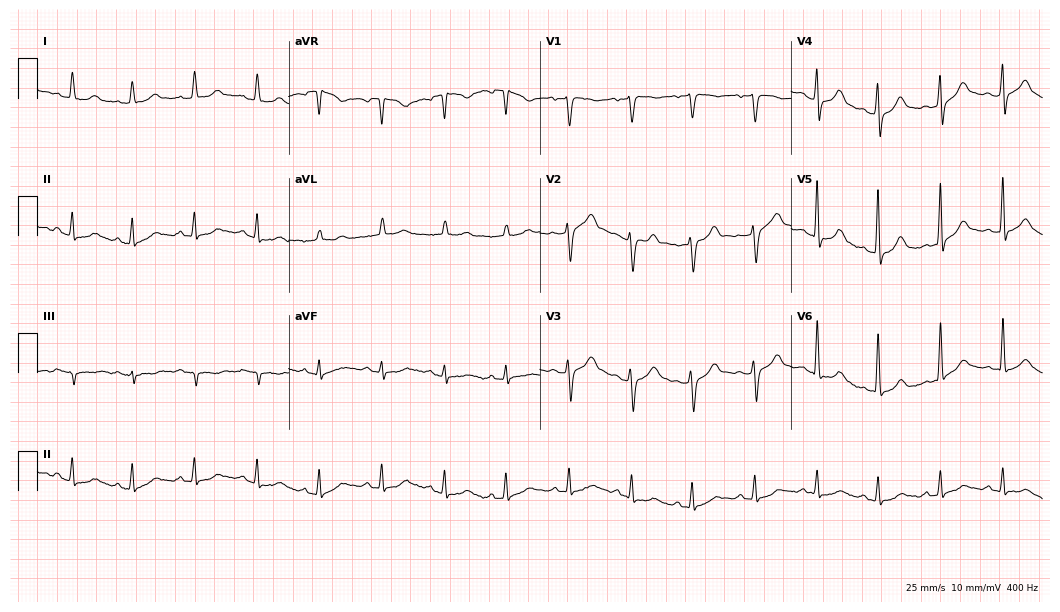
Electrocardiogram, a 68-year-old male. Overall reading on record: normal ECG.